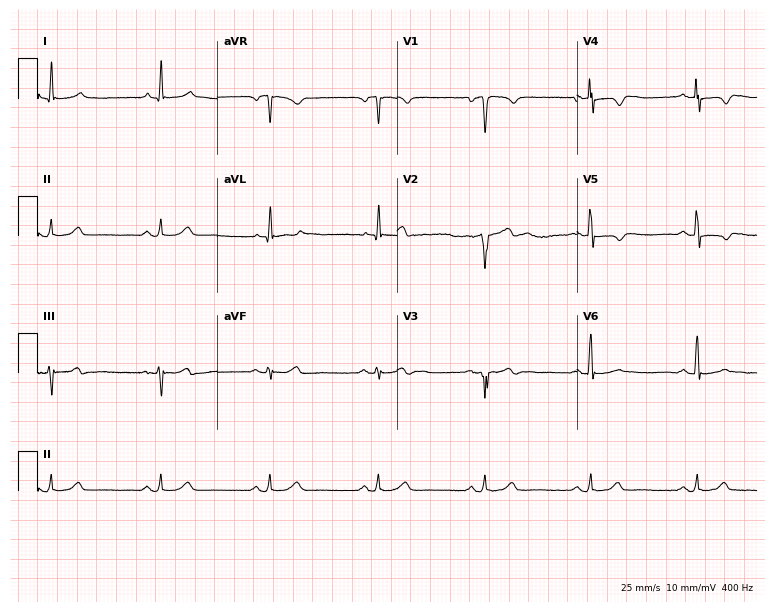
ECG — a 50-year-old man. Screened for six findings — first-degree AV block, right bundle branch block (RBBB), left bundle branch block (LBBB), sinus bradycardia, atrial fibrillation (AF), sinus tachycardia — none is recorded. Only these six findings were labelled.